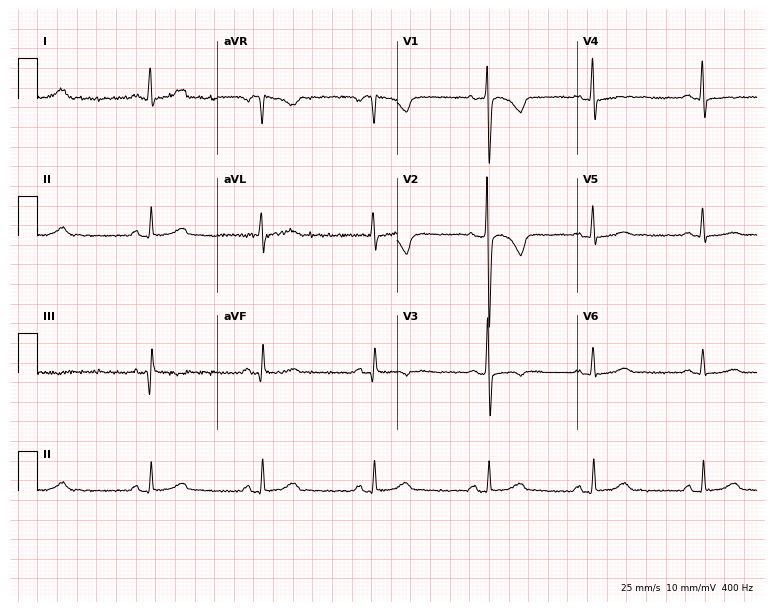
Electrocardiogram (7.3-second recording at 400 Hz), a 51-year-old female. Overall reading on record: normal ECG.